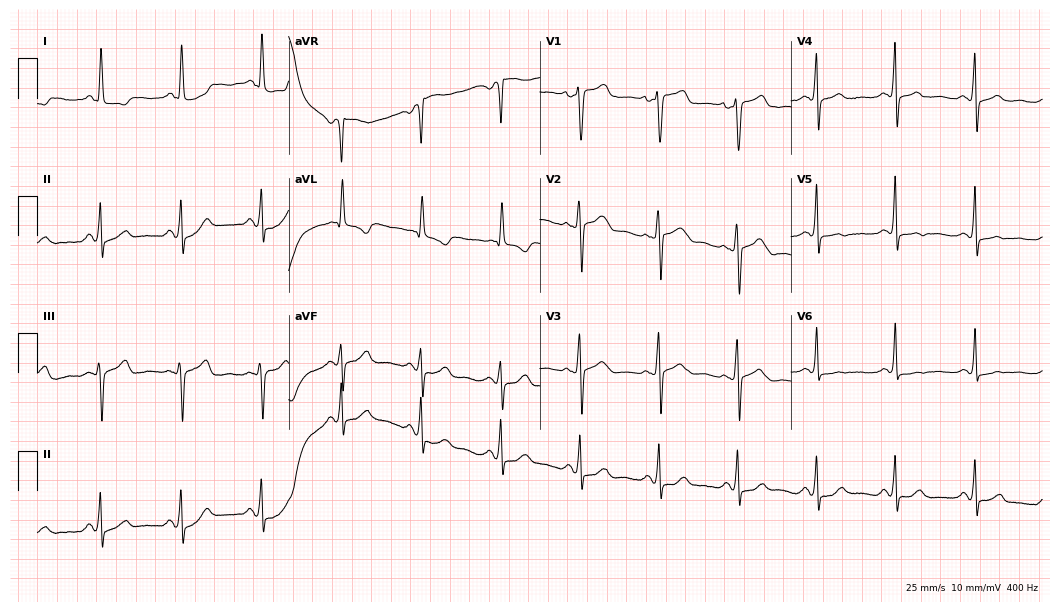
Standard 12-lead ECG recorded from a female patient, 56 years old. None of these six findings is recorded: first-degree AV block, right bundle branch block (RBBB), left bundle branch block (LBBB), sinus bradycardia, atrial fibrillation (AF), sinus tachycardia. Findings outside these six are not listed.